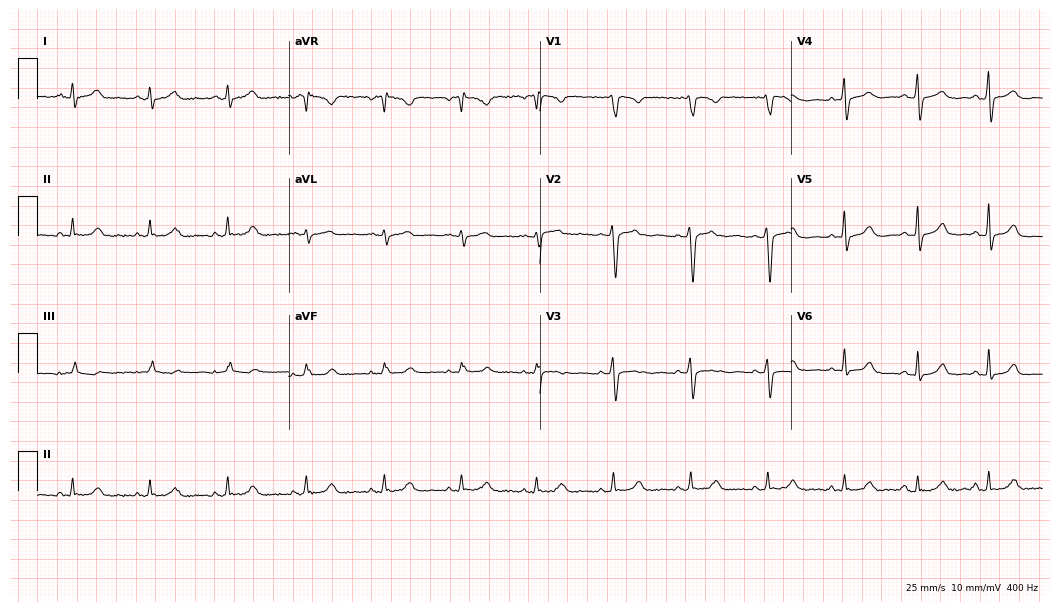
ECG — a woman, 45 years old. Labelled as a normal ECG.